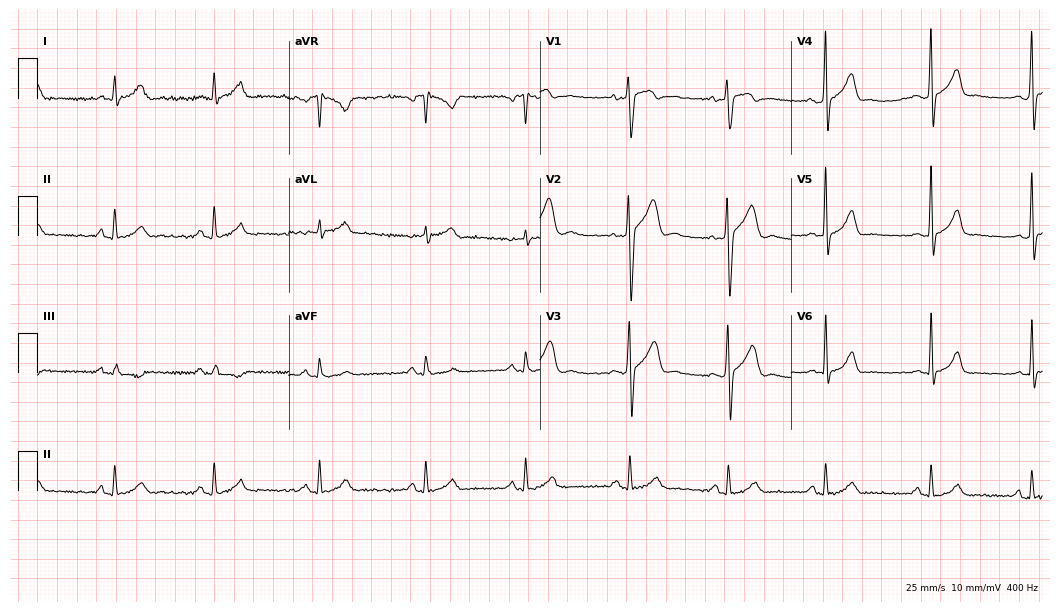
Electrocardiogram (10.2-second recording at 400 Hz), a 26-year-old male patient. Overall reading on record: normal ECG.